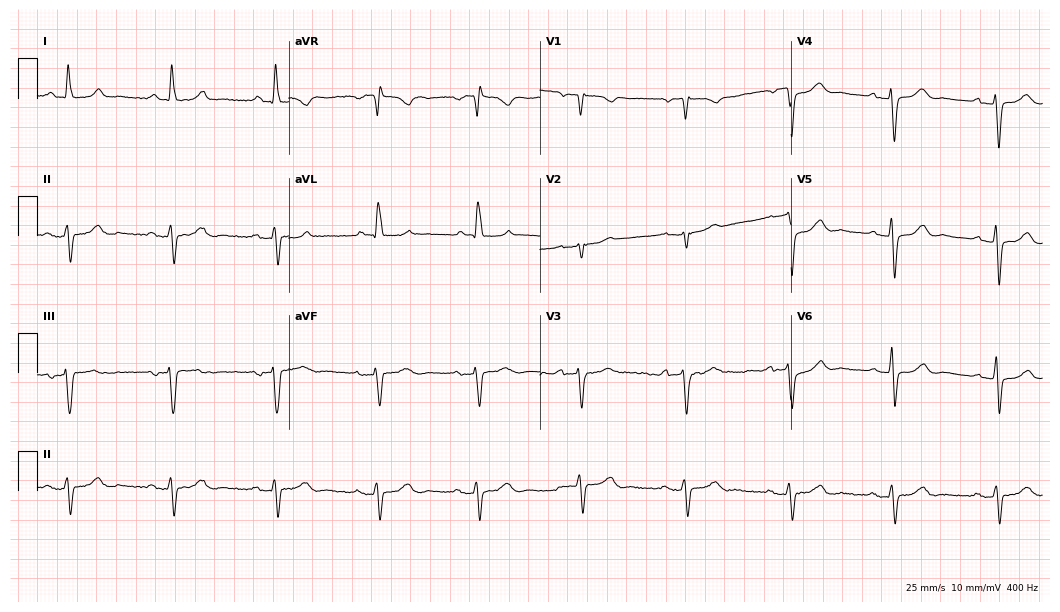
Standard 12-lead ECG recorded from a female patient, 70 years old (10.2-second recording at 400 Hz). None of these six findings is recorded: first-degree AV block, right bundle branch block, left bundle branch block, sinus bradycardia, atrial fibrillation, sinus tachycardia. Only these six findings were labelled.